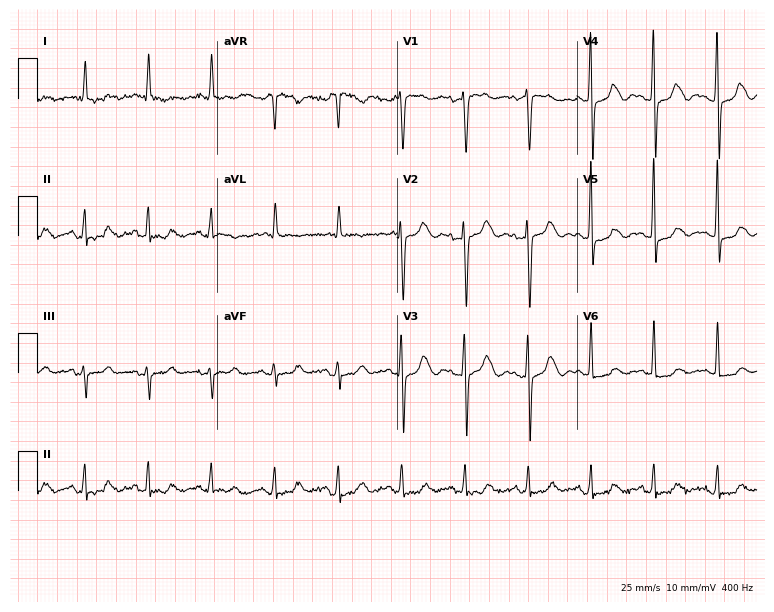
Resting 12-lead electrocardiogram (7.3-second recording at 400 Hz). Patient: an 81-year-old female. Read as a normal ECG.